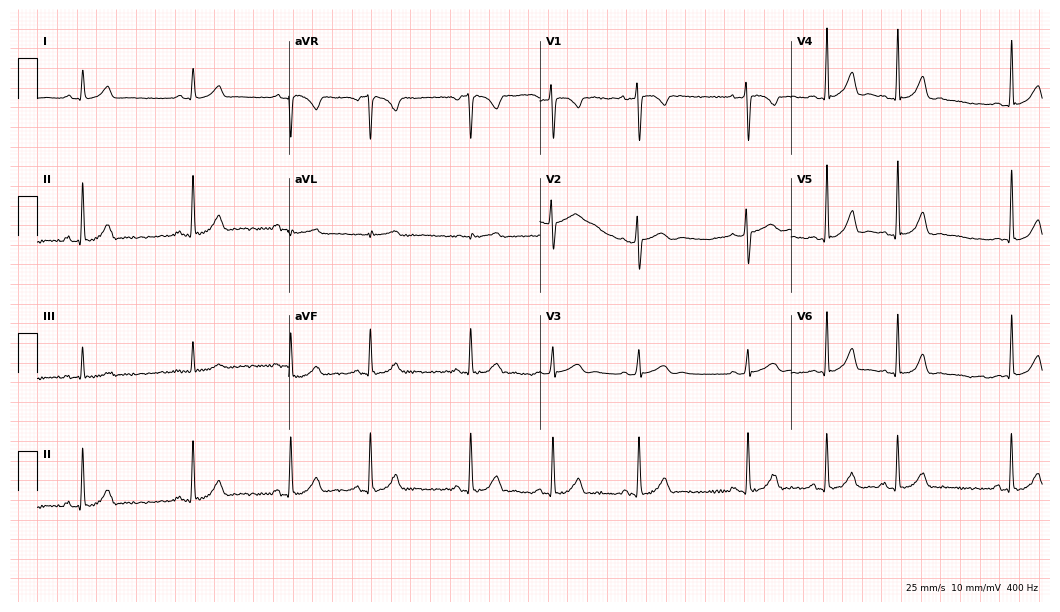
Electrocardiogram, a 23-year-old woman. Overall reading on record: normal ECG.